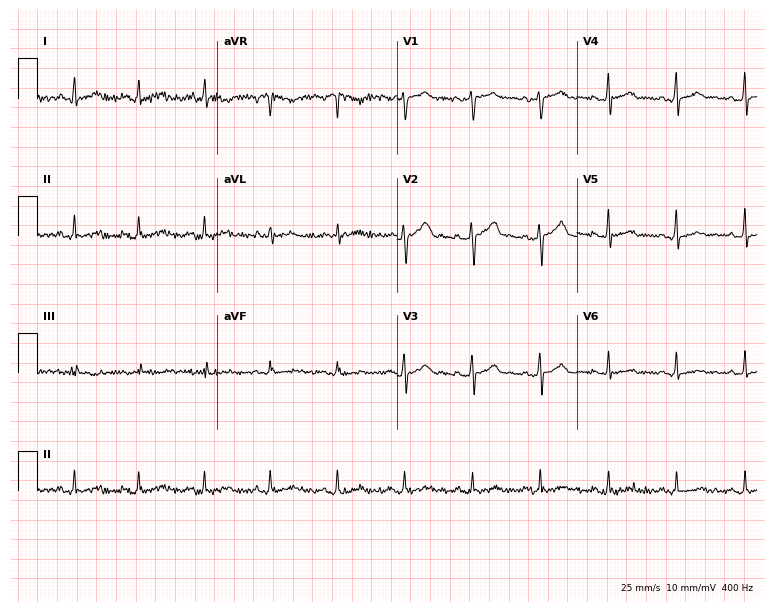
Electrocardiogram (7.3-second recording at 400 Hz), a 48-year-old male patient. Overall reading on record: normal ECG.